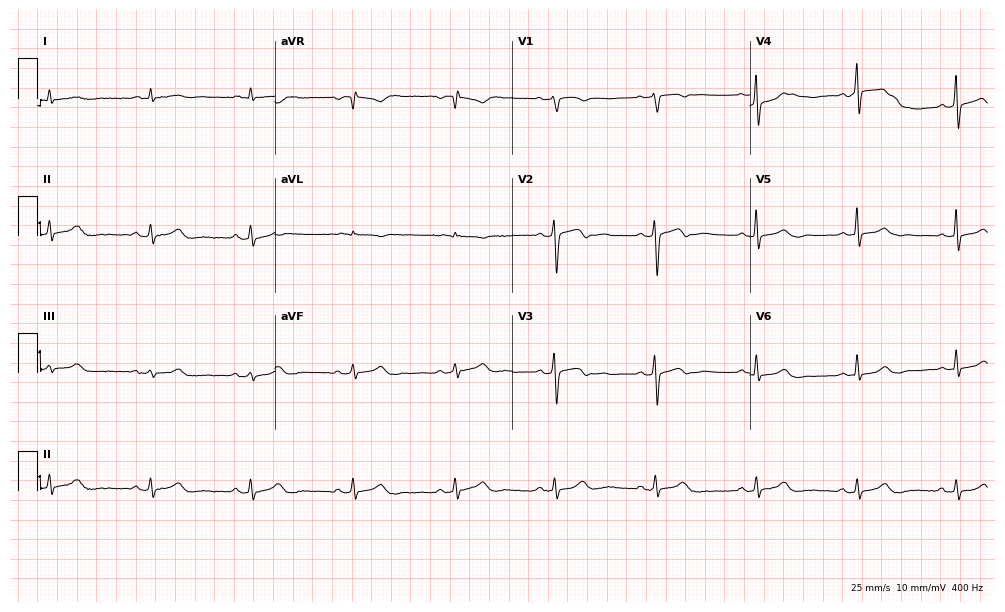
12-lead ECG (9.7-second recording at 400 Hz) from a 62-year-old female patient. Labelled as a normal ECG.